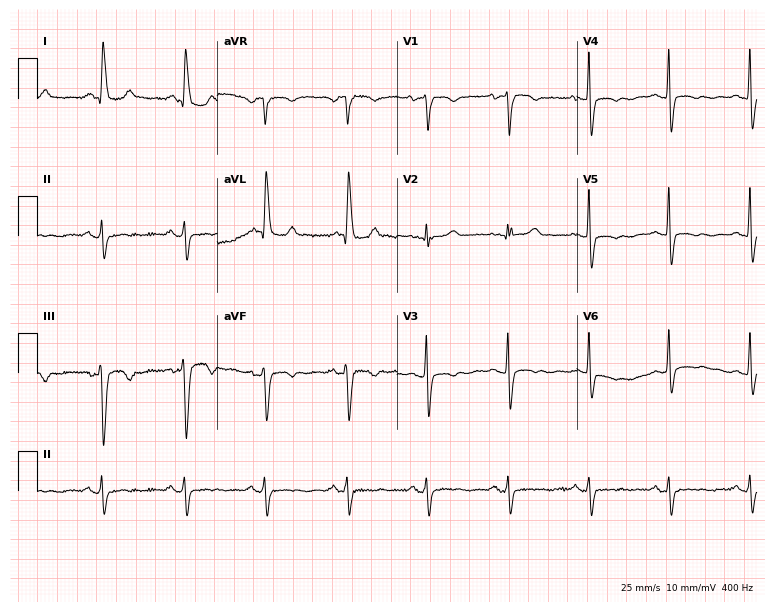
ECG — a female, 74 years old. Screened for six findings — first-degree AV block, right bundle branch block (RBBB), left bundle branch block (LBBB), sinus bradycardia, atrial fibrillation (AF), sinus tachycardia — none is recorded. Findings outside these six are not listed.